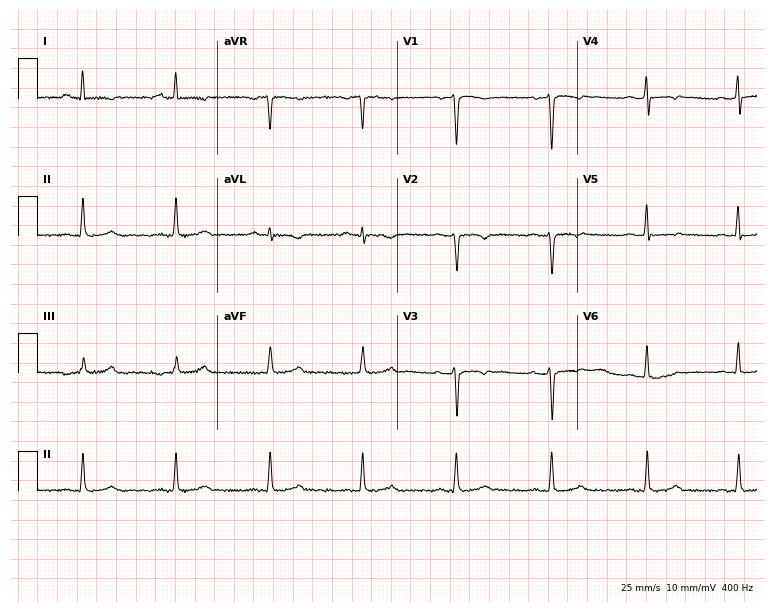
ECG (7.3-second recording at 400 Hz) — a male, 63 years old. Screened for six findings — first-degree AV block, right bundle branch block, left bundle branch block, sinus bradycardia, atrial fibrillation, sinus tachycardia — none is recorded.